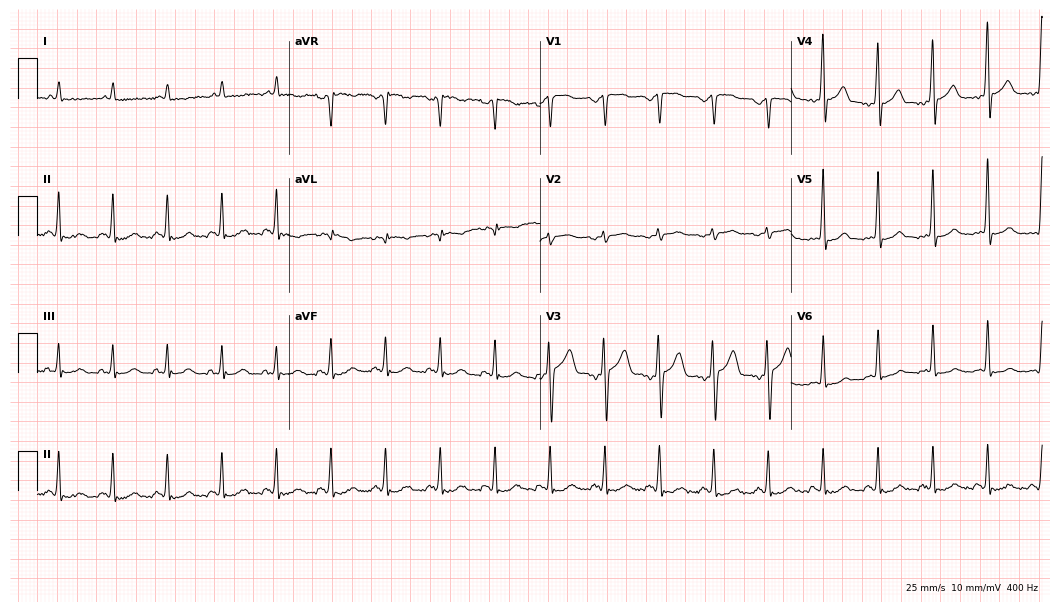
Resting 12-lead electrocardiogram (10.2-second recording at 400 Hz). Patient: a 66-year-old male. The tracing shows sinus tachycardia (a sinus rate of 100 beats per minute or more).